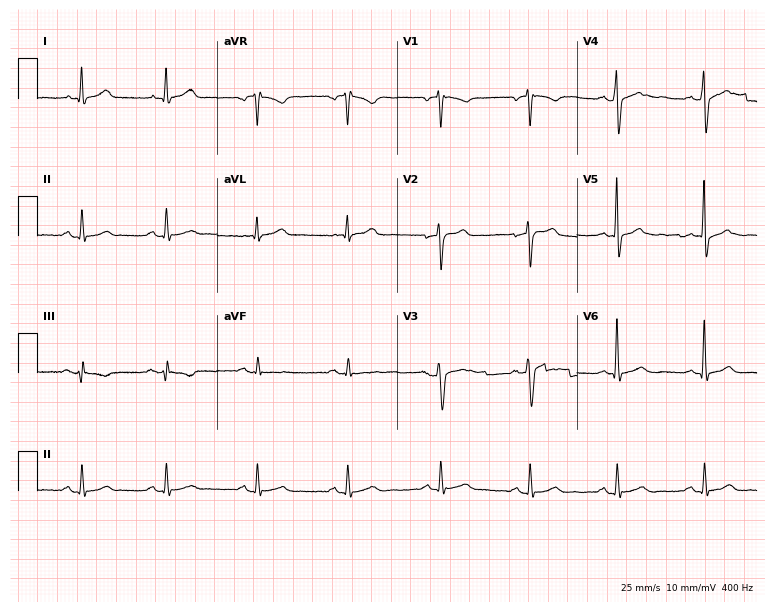
12-lead ECG from a 42-year-old man. Recorded interpretation: within normal limits.